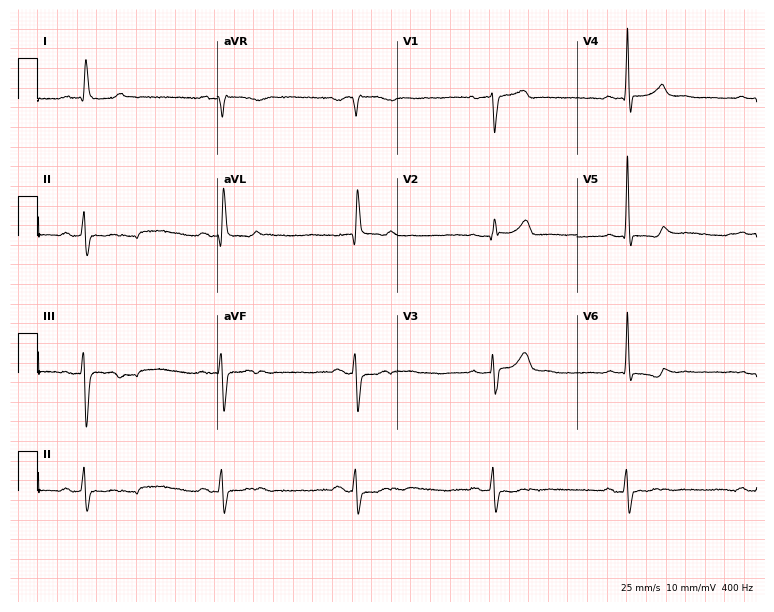
Resting 12-lead electrocardiogram (7.3-second recording at 400 Hz). Patient: an 83-year-old male. The tracing shows sinus bradycardia (a sinus rate of 50 beats per minute or less).